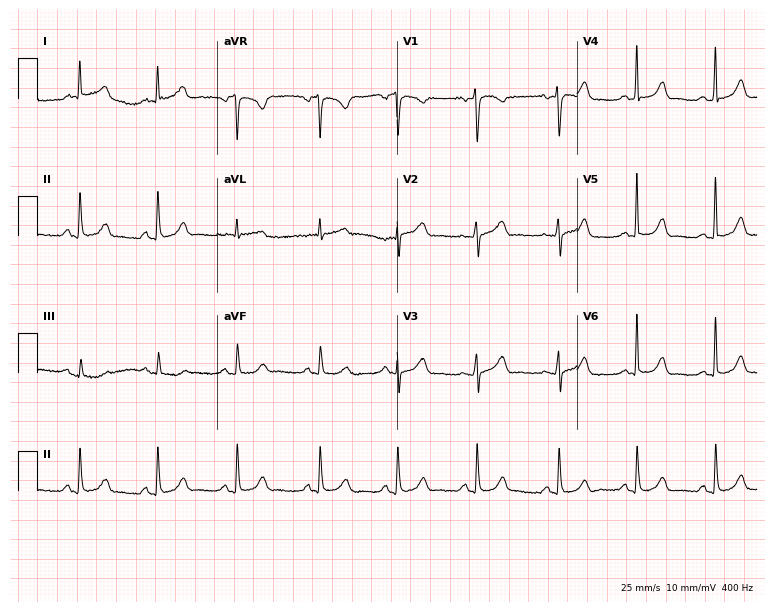
12-lead ECG from a female patient, 56 years old. Recorded interpretation: within normal limits.